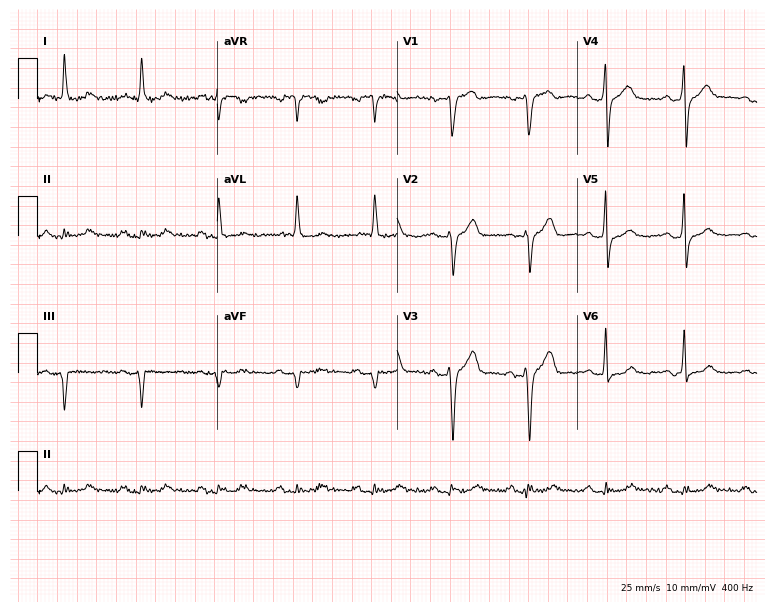
Electrocardiogram (7.3-second recording at 400 Hz), a male, 74 years old. Of the six screened findings (first-degree AV block, right bundle branch block (RBBB), left bundle branch block (LBBB), sinus bradycardia, atrial fibrillation (AF), sinus tachycardia), none is recorded.